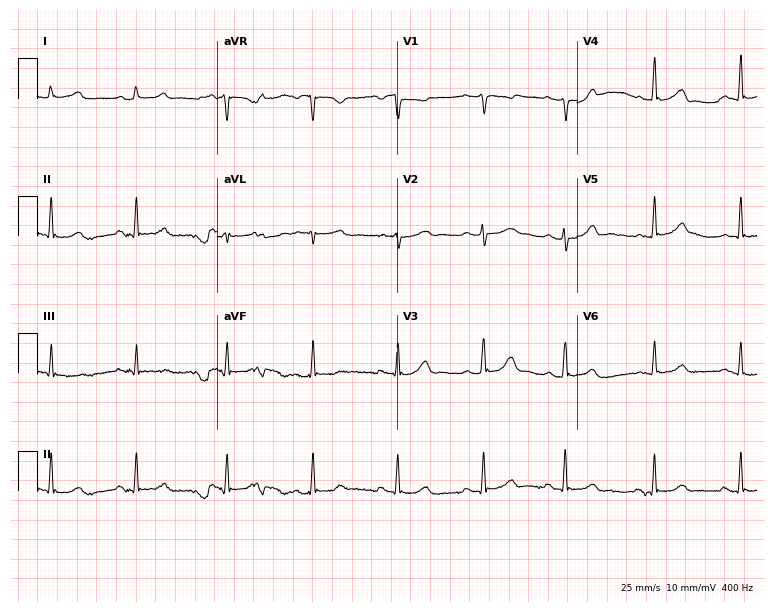
12-lead ECG (7.3-second recording at 400 Hz) from a woman, 18 years old. Labelled as a normal ECG.